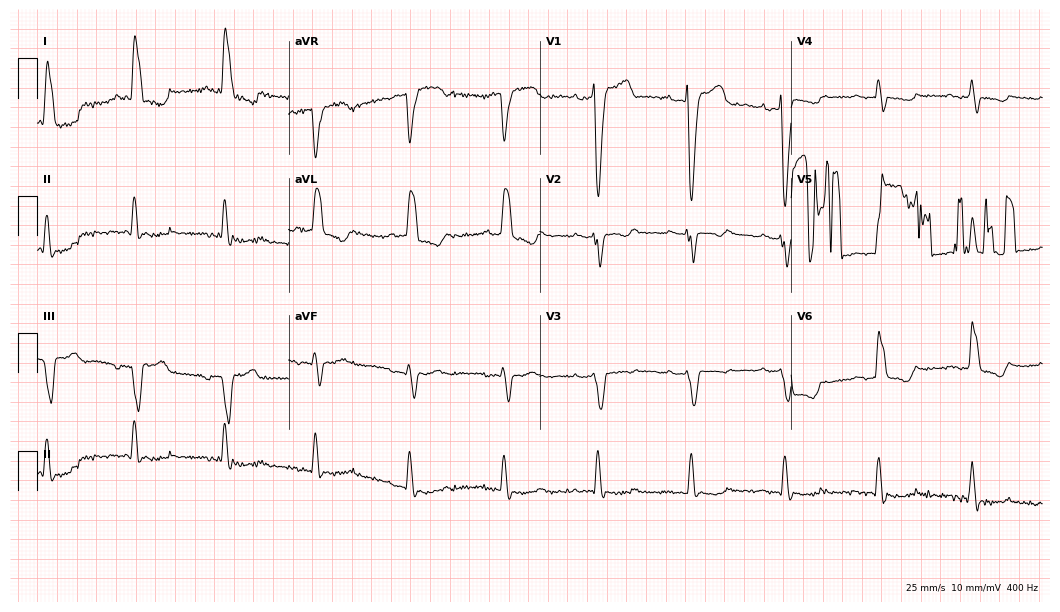
12-lead ECG from a female, 80 years old. Findings include left bundle branch block.